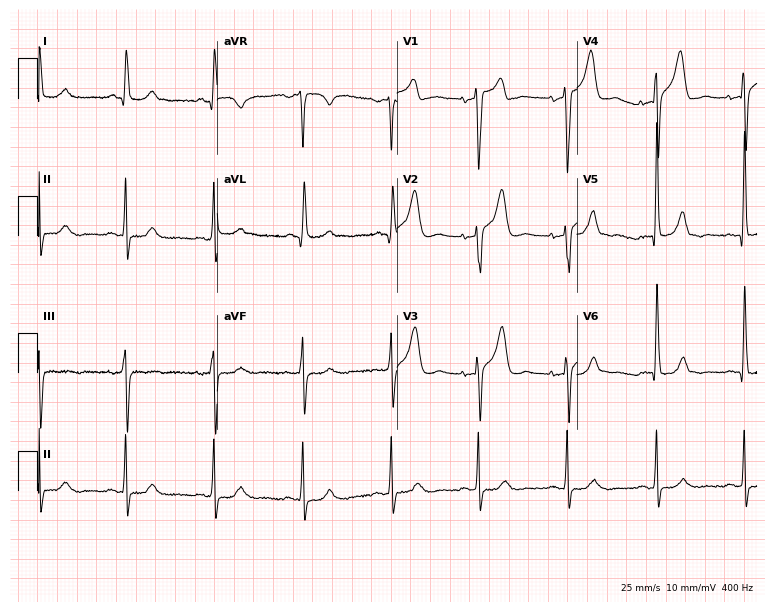
Standard 12-lead ECG recorded from a male patient, 61 years old (7.3-second recording at 400 Hz). None of these six findings is recorded: first-degree AV block, right bundle branch block, left bundle branch block, sinus bradycardia, atrial fibrillation, sinus tachycardia. Other findings, if any, are not listed.